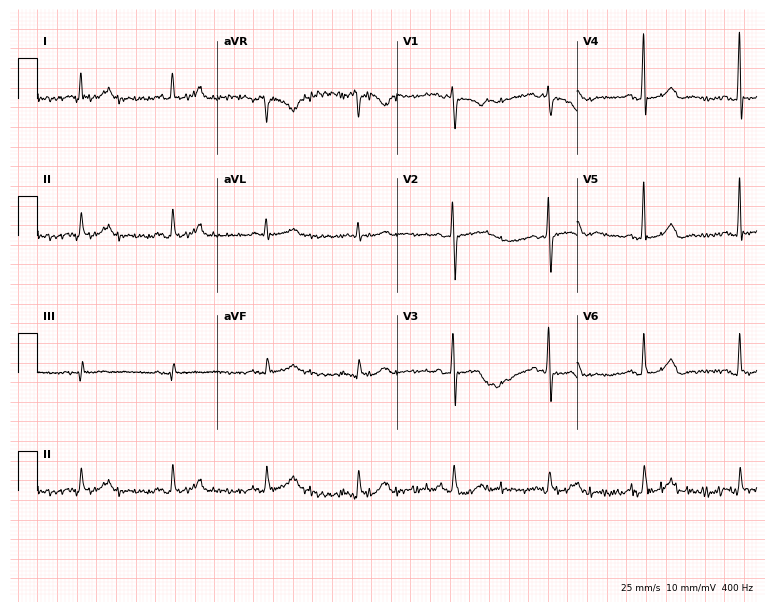
12-lead ECG from a 70-year-old male patient (7.3-second recording at 400 Hz). No first-degree AV block, right bundle branch block (RBBB), left bundle branch block (LBBB), sinus bradycardia, atrial fibrillation (AF) or sinus tachycardia recorded for this tracing.